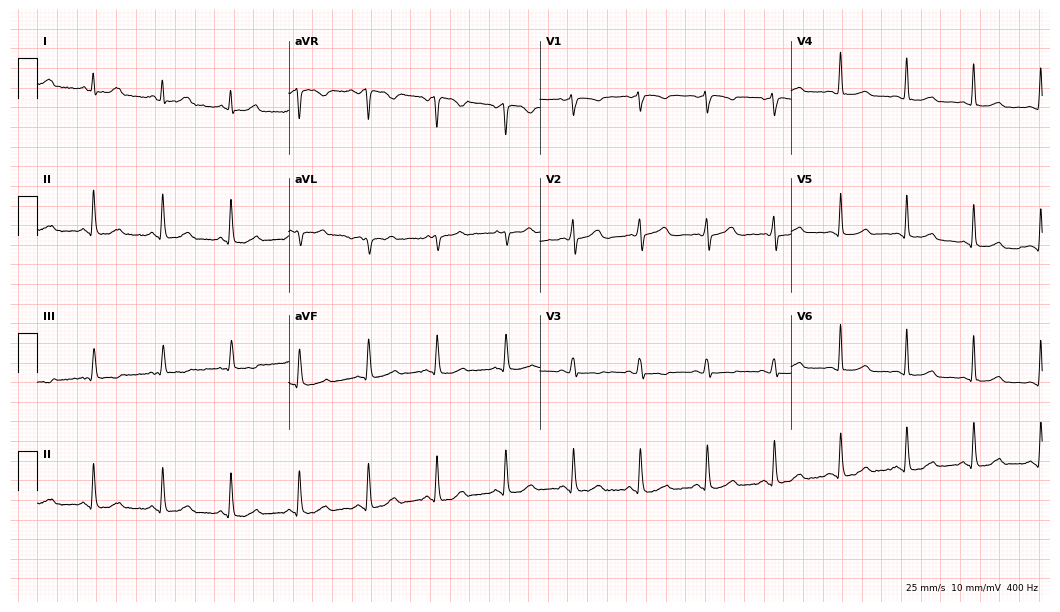
Electrocardiogram (10.2-second recording at 400 Hz), a 46-year-old female patient. Of the six screened findings (first-degree AV block, right bundle branch block, left bundle branch block, sinus bradycardia, atrial fibrillation, sinus tachycardia), none is recorded.